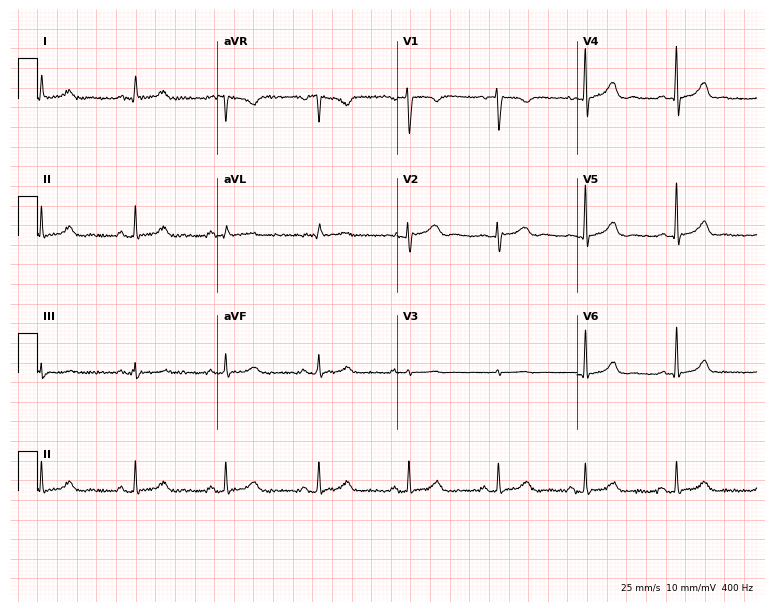
Standard 12-lead ECG recorded from a 34-year-old woman (7.3-second recording at 400 Hz). None of these six findings is recorded: first-degree AV block, right bundle branch block, left bundle branch block, sinus bradycardia, atrial fibrillation, sinus tachycardia. Findings outside these six are not listed.